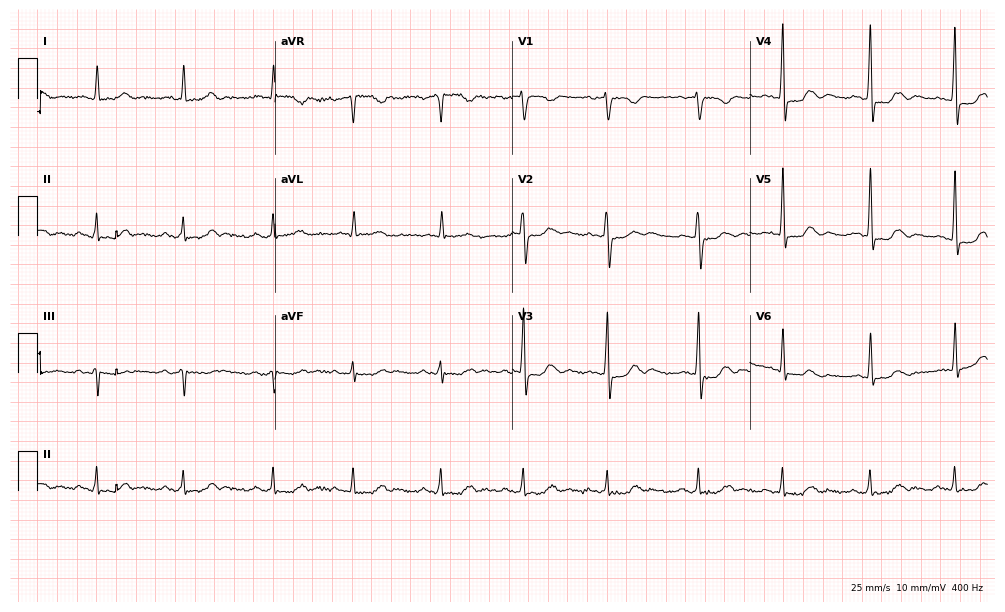
ECG (9.7-second recording at 400 Hz) — an 84-year-old man. Screened for six findings — first-degree AV block, right bundle branch block, left bundle branch block, sinus bradycardia, atrial fibrillation, sinus tachycardia — none is recorded.